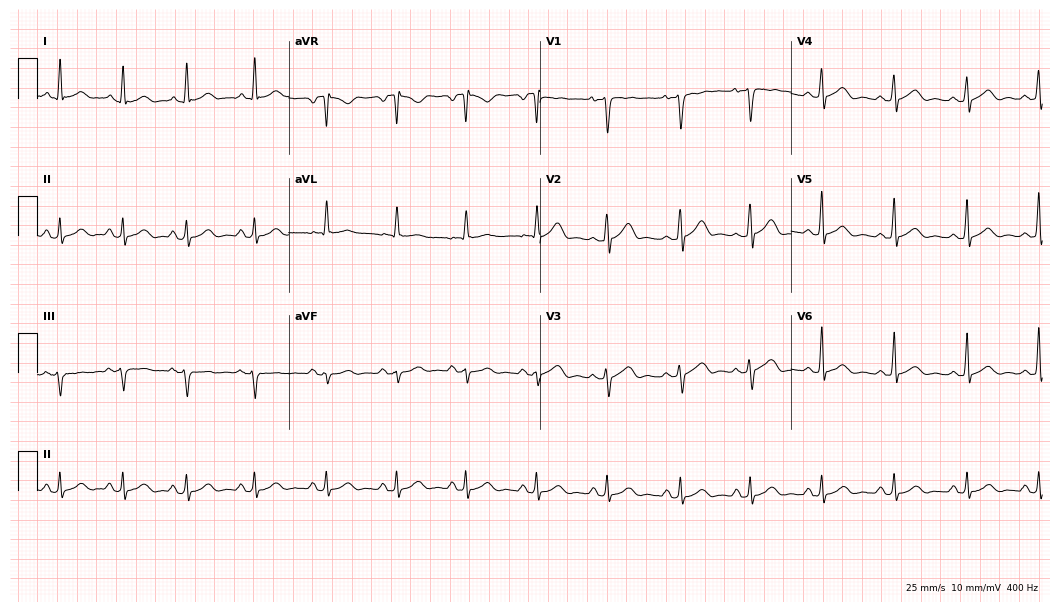
Electrocardiogram, a male patient, 35 years old. Overall reading on record: normal ECG.